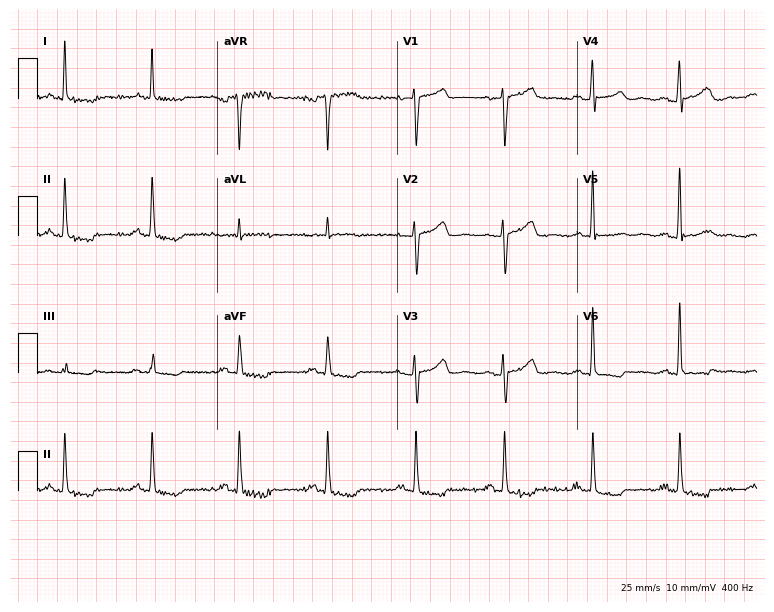
ECG (7.3-second recording at 400 Hz) — a female, 64 years old. Screened for six findings — first-degree AV block, right bundle branch block, left bundle branch block, sinus bradycardia, atrial fibrillation, sinus tachycardia — none is recorded.